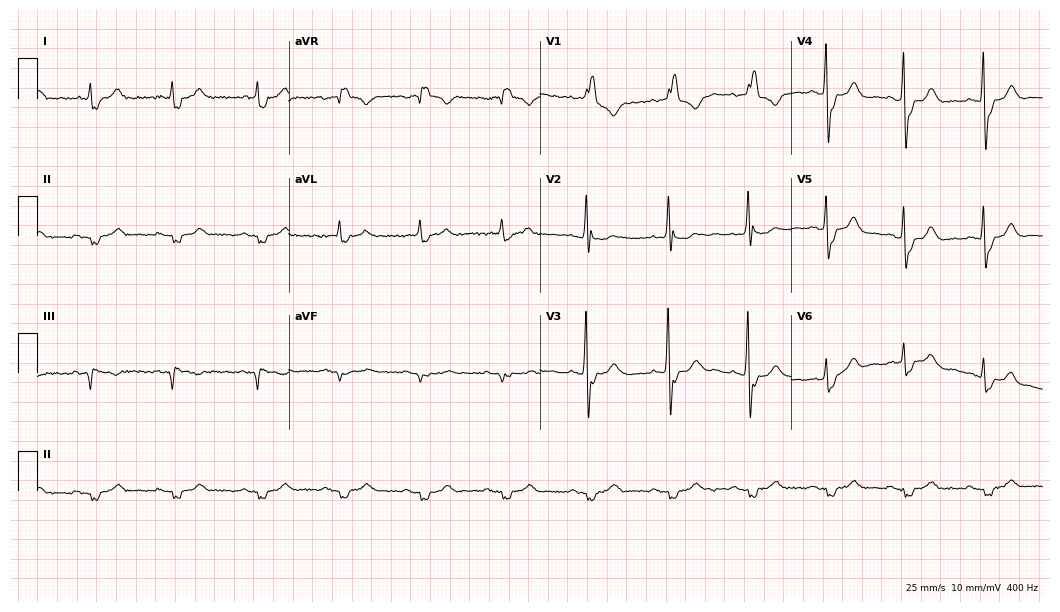
Electrocardiogram, a male, 83 years old. Interpretation includes right bundle branch block (RBBB).